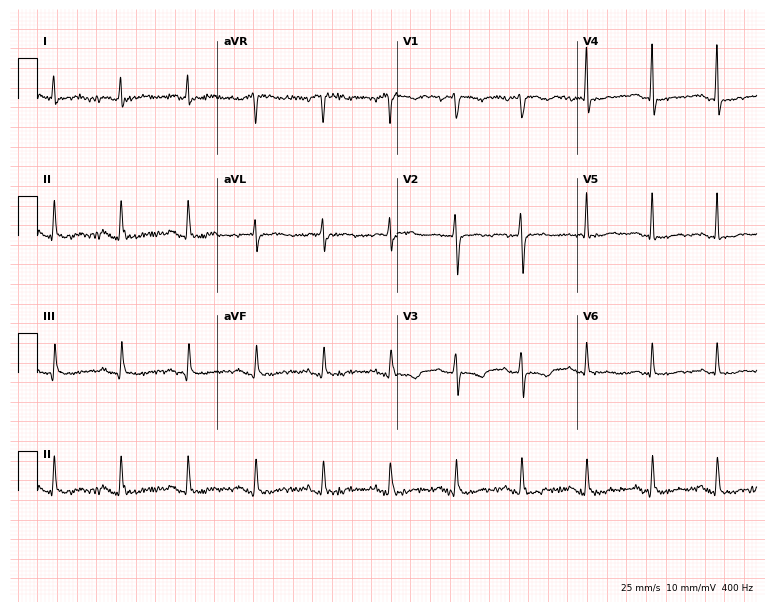
ECG (7.3-second recording at 400 Hz) — a female patient, 53 years old. Screened for six findings — first-degree AV block, right bundle branch block (RBBB), left bundle branch block (LBBB), sinus bradycardia, atrial fibrillation (AF), sinus tachycardia — none is recorded.